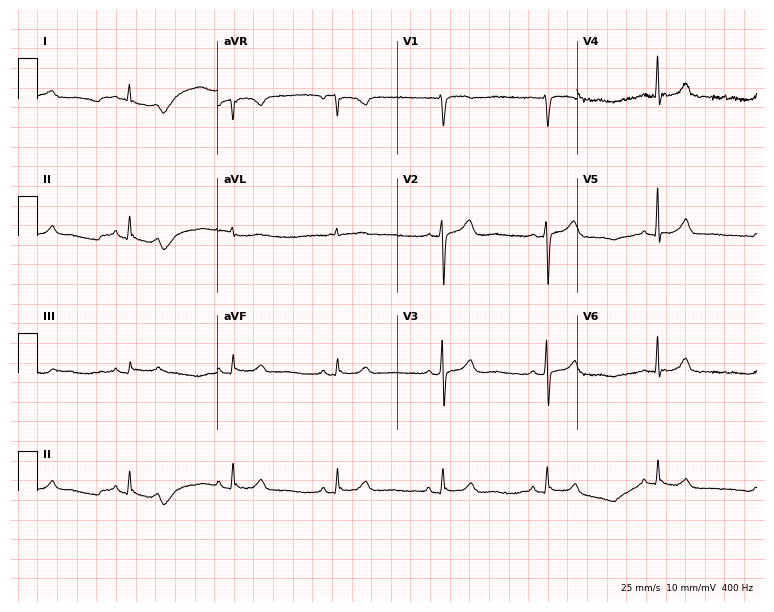
12-lead ECG from a female, 57 years old. Screened for six findings — first-degree AV block, right bundle branch block, left bundle branch block, sinus bradycardia, atrial fibrillation, sinus tachycardia — none is recorded.